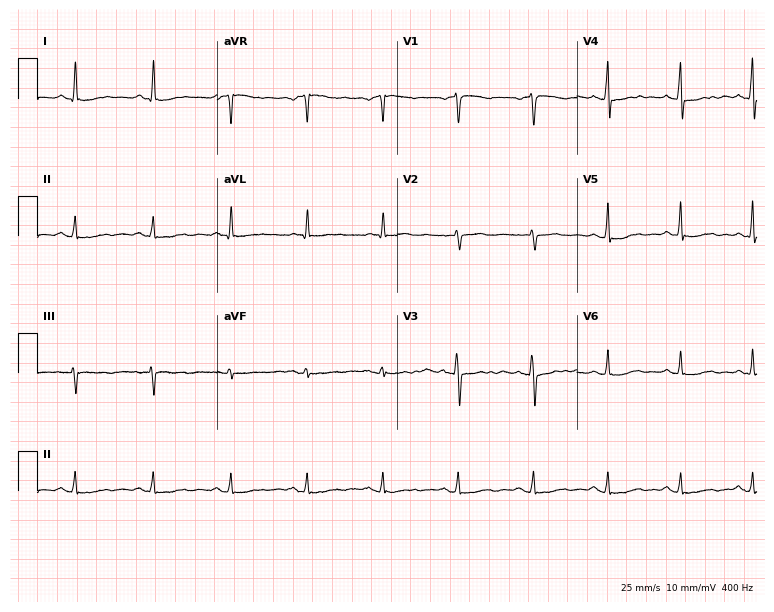
12-lead ECG from a female, 60 years old. No first-degree AV block, right bundle branch block, left bundle branch block, sinus bradycardia, atrial fibrillation or sinus tachycardia recorded for this tracing. Other findings, if any, are not listed.